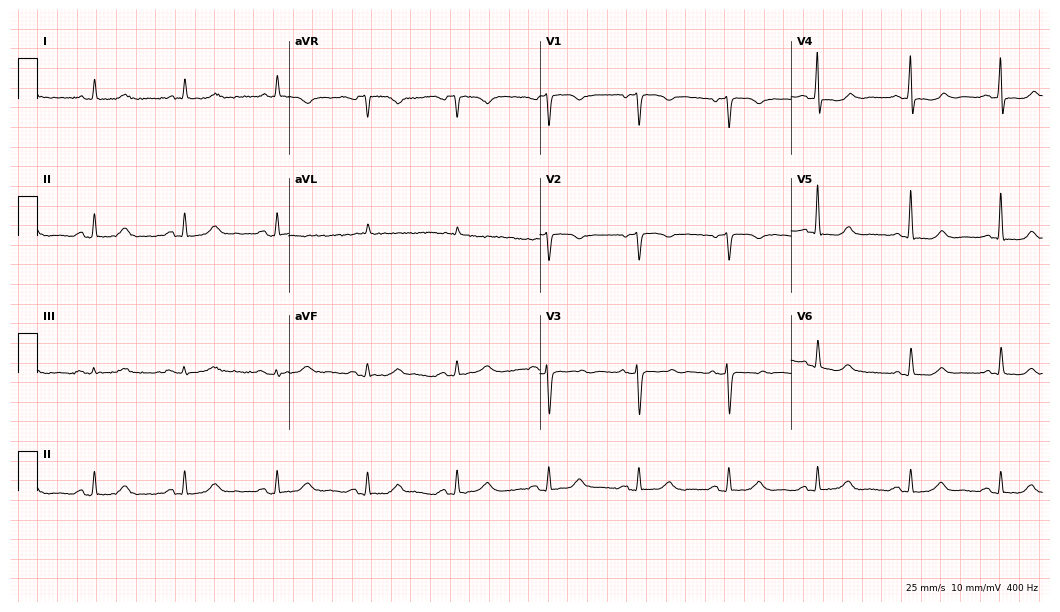
ECG — an 82-year-old woman. Screened for six findings — first-degree AV block, right bundle branch block (RBBB), left bundle branch block (LBBB), sinus bradycardia, atrial fibrillation (AF), sinus tachycardia — none is recorded.